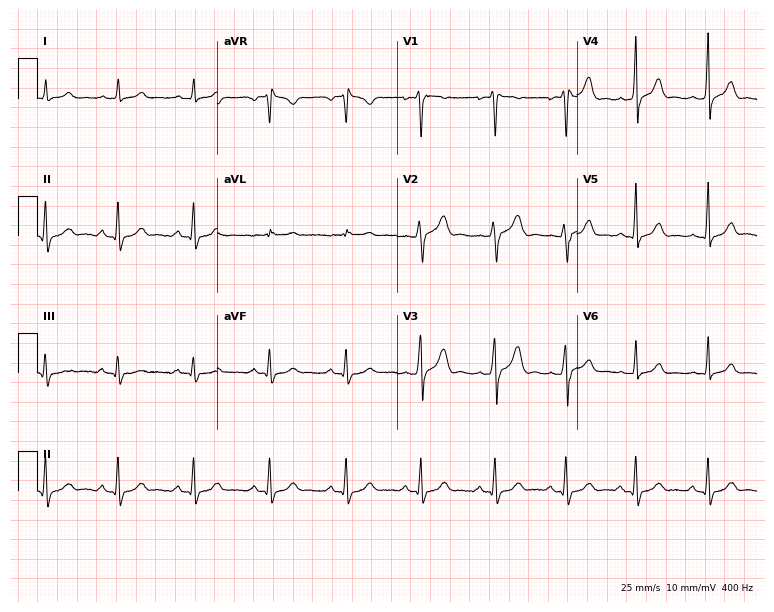
Electrocardiogram, a 21-year-old man. Of the six screened findings (first-degree AV block, right bundle branch block (RBBB), left bundle branch block (LBBB), sinus bradycardia, atrial fibrillation (AF), sinus tachycardia), none is recorded.